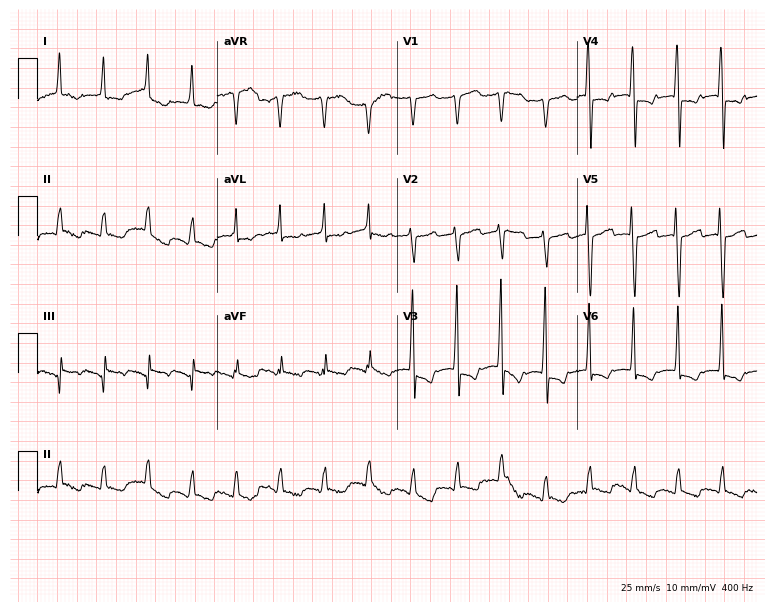
ECG (7.3-second recording at 400 Hz) — a female patient, 82 years old. Screened for six findings — first-degree AV block, right bundle branch block (RBBB), left bundle branch block (LBBB), sinus bradycardia, atrial fibrillation (AF), sinus tachycardia — none is recorded.